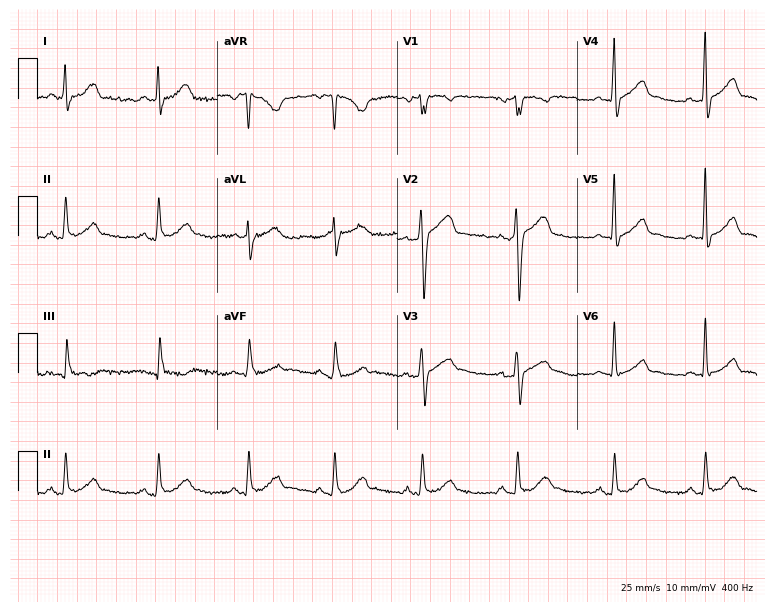
Electrocardiogram, a male patient, 33 years old. Overall reading on record: normal ECG.